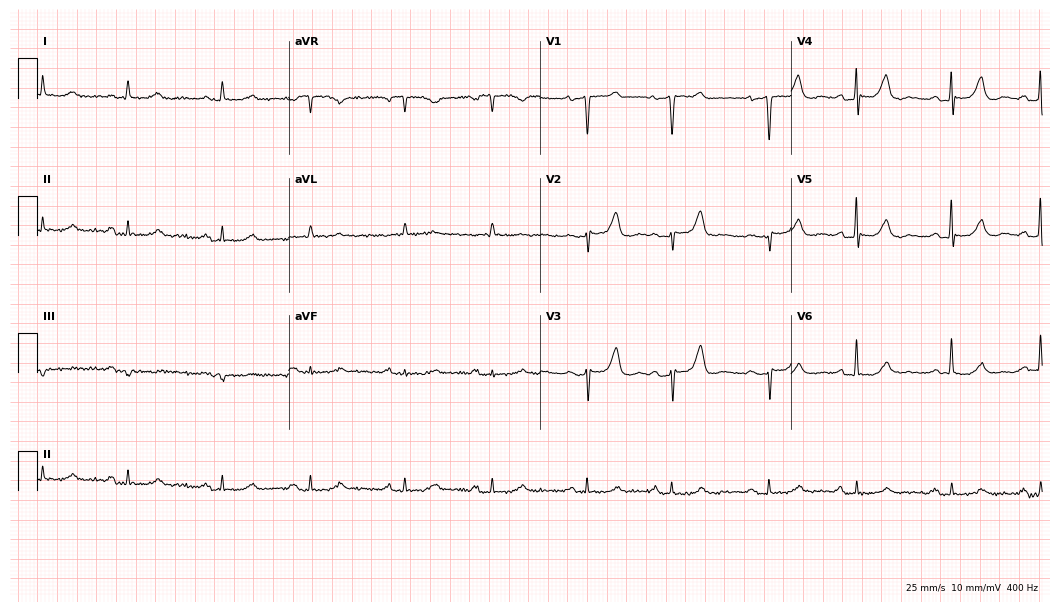
Electrocardiogram (10.2-second recording at 400 Hz), a woman, 85 years old. Of the six screened findings (first-degree AV block, right bundle branch block, left bundle branch block, sinus bradycardia, atrial fibrillation, sinus tachycardia), none is recorded. Findings outside these six are not listed.